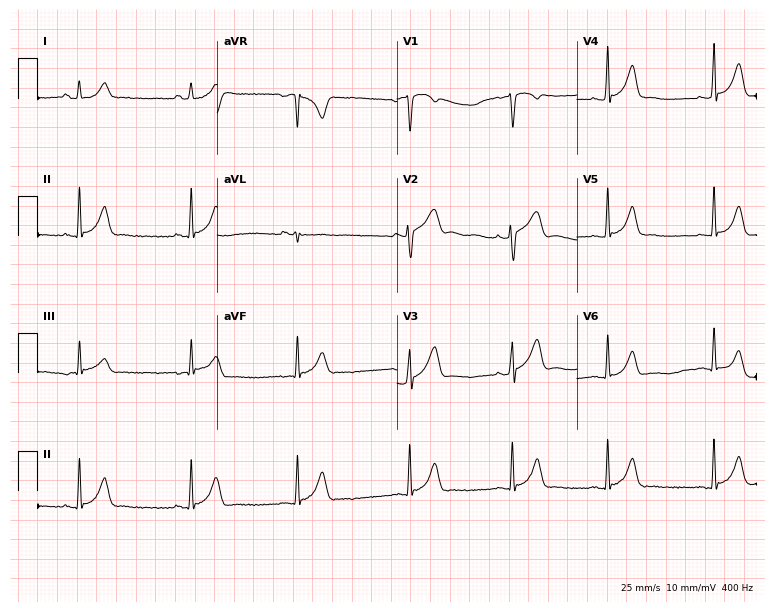
12-lead ECG from a 17-year-old female patient. Screened for six findings — first-degree AV block, right bundle branch block, left bundle branch block, sinus bradycardia, atrial fibrillation, sinus tachycardia — none is recorded.